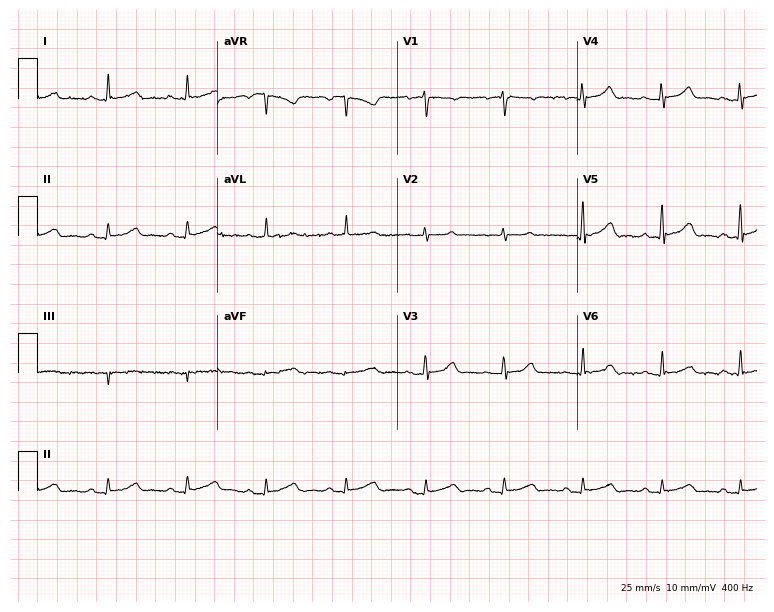
Electrocardiogram (7.3-second recording at 400 Hz), a female, 53 years old. Overall reading on record: normal ECG.